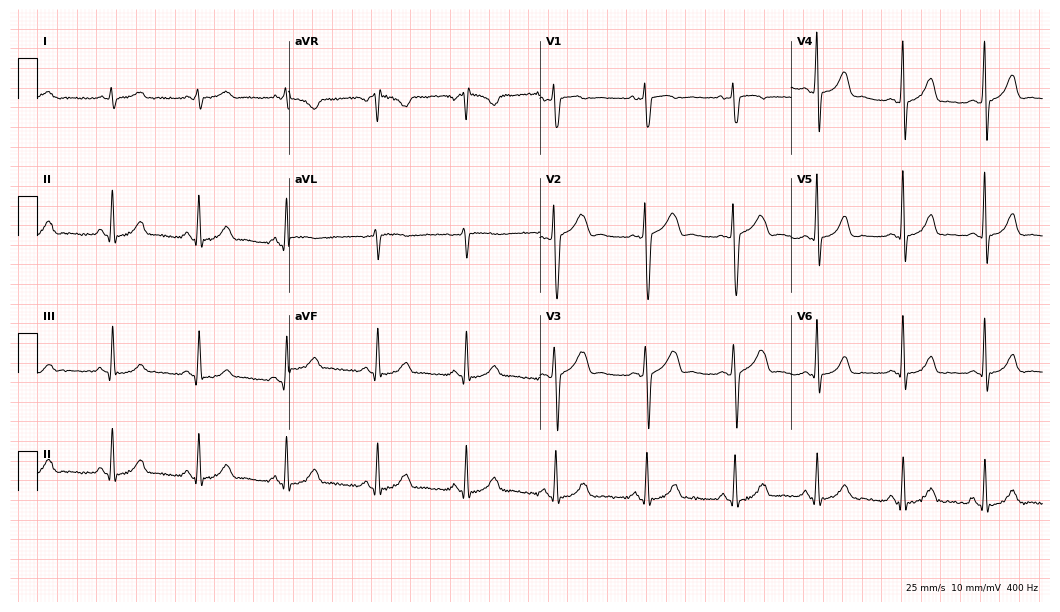
Resting 12-lead electrocardiogram. Patient: a 31-year-old woman. None of these six findings is recorded: first-degree AV block, right bundle branch block, left bundle branch block, sinus bradycardia, atrial fibrillation, sinus tachycardia.